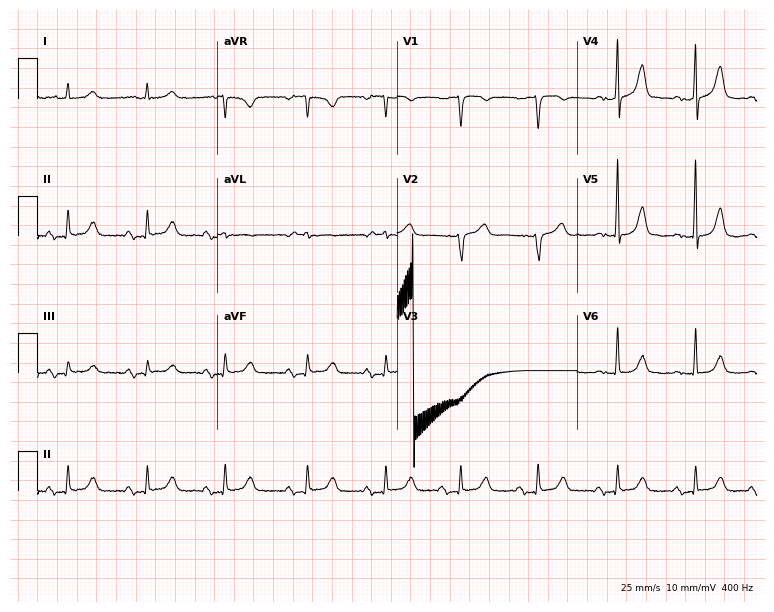
Resting 12-lead electrocardiogram (7.3-second recording at 400 Hz). Patient: a 73-year-old woman. None of these six findings is recorded: first-degree AV block, right bundle branch block, left bundle branch block, sinus bradycardia, atrial fibrillation, sinus tachycardia.